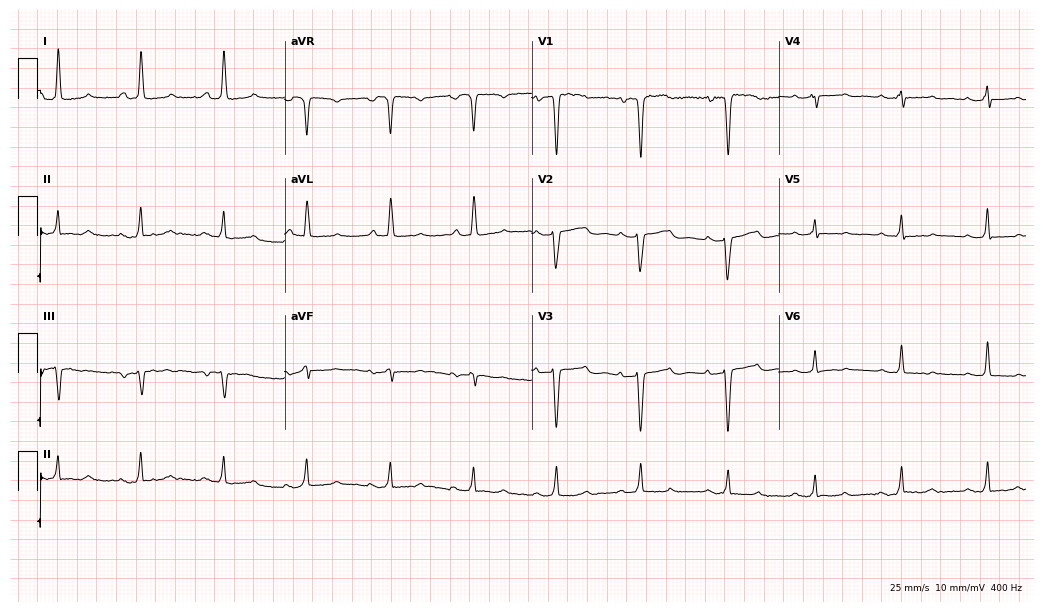
Standard 12-lead ECG recorded from a 49-year-old female. None of these six findings is recorded: first-degree AV block, right bundle branch block, left bundle branch block, sinus bradycardia, atrial fibrillation, sinus tachycardia. Other findings, if any, are not listed.